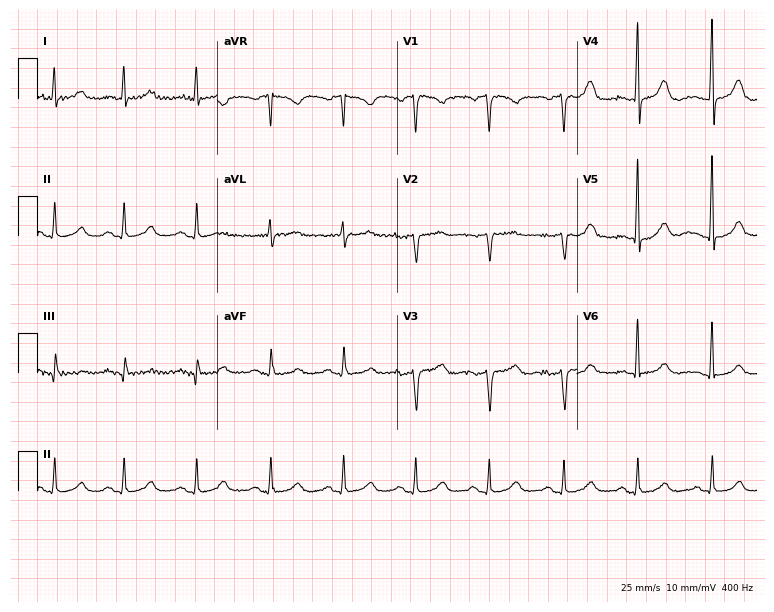
ECG — a female patient, 76 years old. Labelled as a normal ECG.